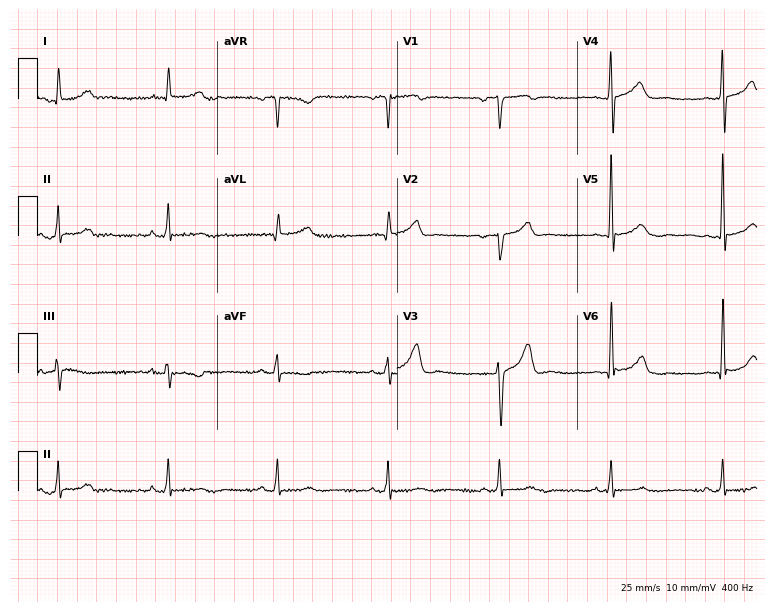
Electrocardiogram (7.3-second recording at 400 Hz), a 73-year-old male. Of the six screened findings (first-degree AV block, right bundle branch block (RBBB), left bundle branch block (LBBB), sinus bradycardia, atrial fibrillation (AF), sinus tachycardia), none is recorded.